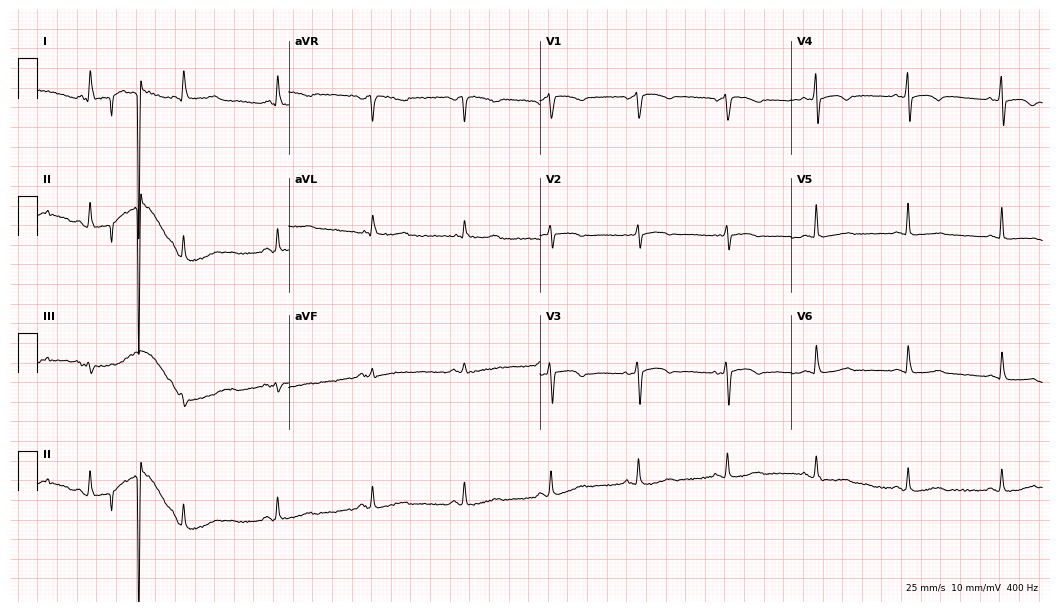
12-lead ECG from a female patient, 75 years old. Screened for six findings — first-degree AV block, right bundle branch block, left bundle branch block, sinus bradycardia, atrial fibrillation, sinus tachycardia — none is recorded. Findings outside these six are not listed.